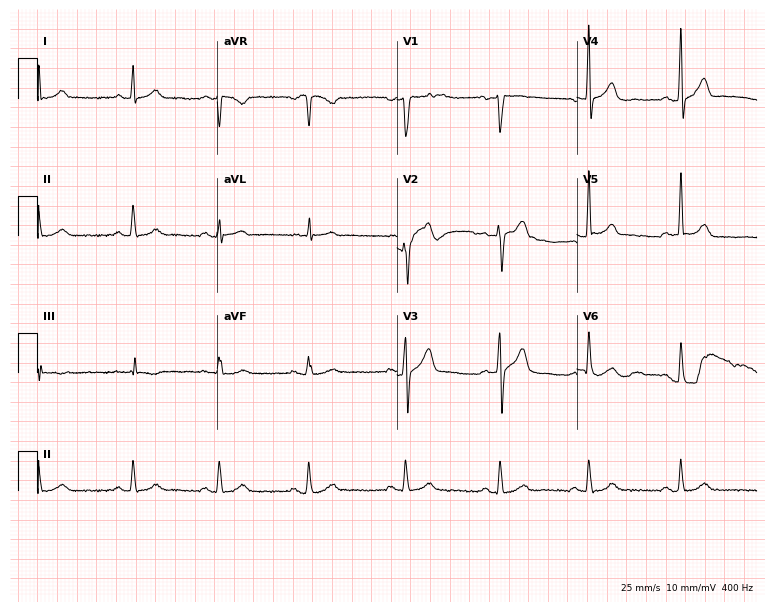
Standard 12-lead ECG recorded from a 47-year-old male patient. Read as a normal ECG.